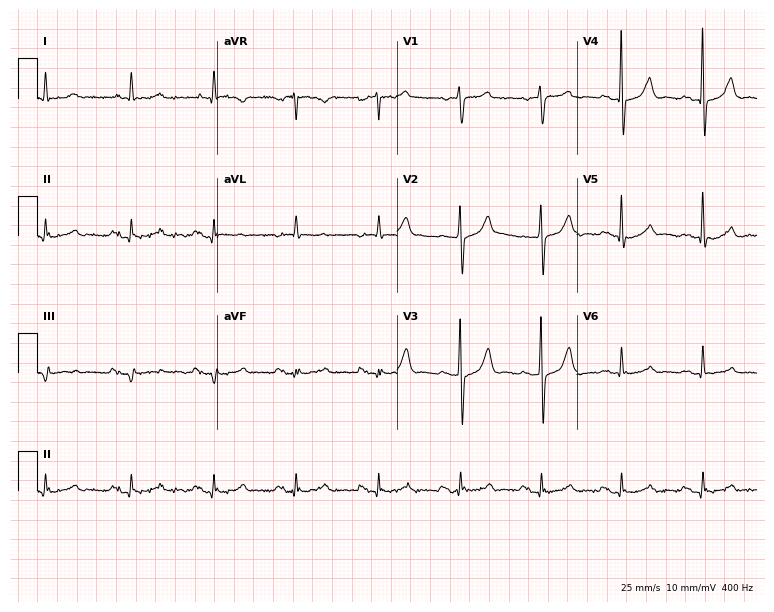
Resting 12-lead electrocardiogram. Patient: a 66-year-old man. Read as a normal ECG.